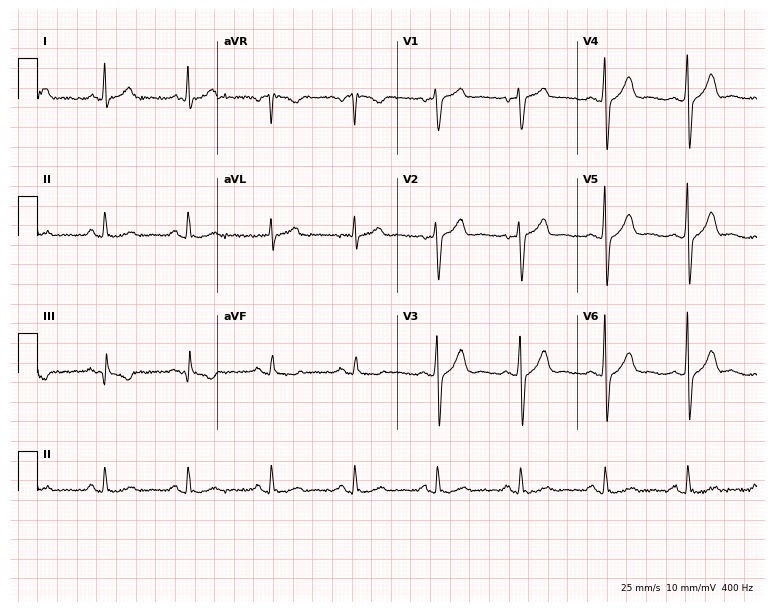
Resting 12-lead electrocardiogram (7.3-second recording at 400 Hz). Patient: a 44-year-old man. Read as a normal ECG.